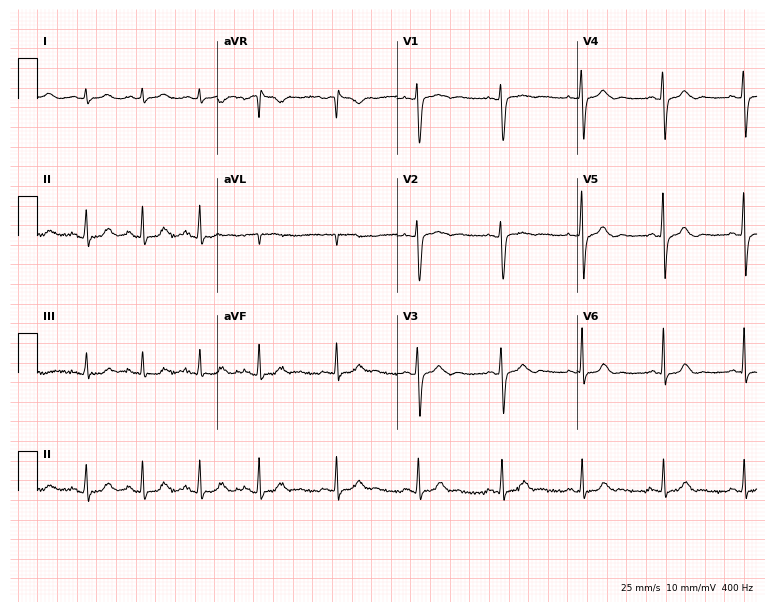
Resting 12-lead electrocardiogram (7.3-second recording at 400 Hz). Patient: a 31-year-old female. None of these six findings is recorded: first-degree AV block, right bundle branch block, left bundle branch block, sinus bradycardia, atrial fibrillation, sinus tachycardia.